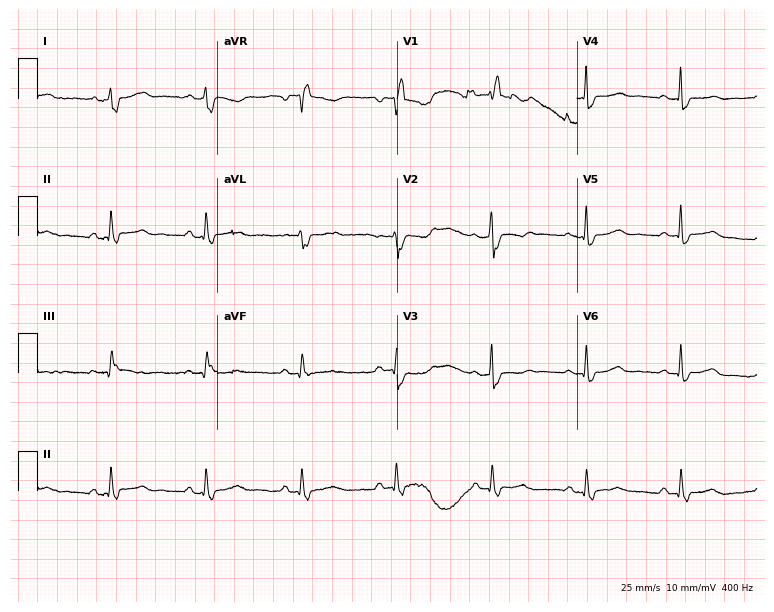
Resting 12-lead electrocardiogram (7.3-second recording at 400 Hz). Patient: a female, 42 years old. None of these six findings is recorded: first-degree AV block, right bundle branch block, left bundle branch block, sinus bradycardia, atrial fibrillation, sinus tachycardia. Findings outside these six are not listed.